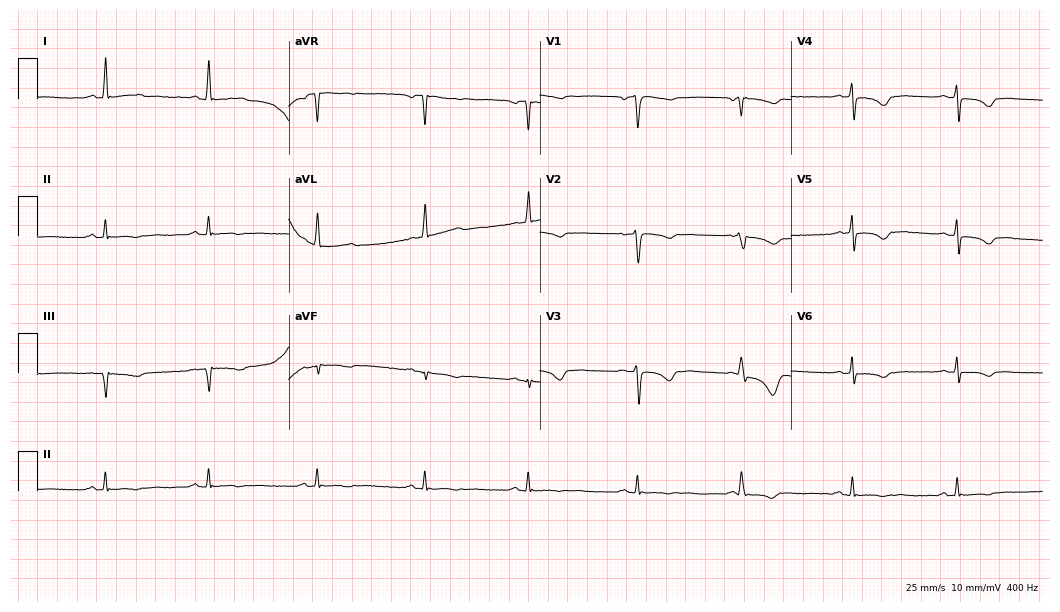
Resting 12-lead electrocardiogram. Patient: a 47-year-old woman. None of these six findings is recorded: first-degree AV block, right bundle branch block, left bundle branch block, sinus bradycardia, atrial fibrillation, sinus tachycardia.